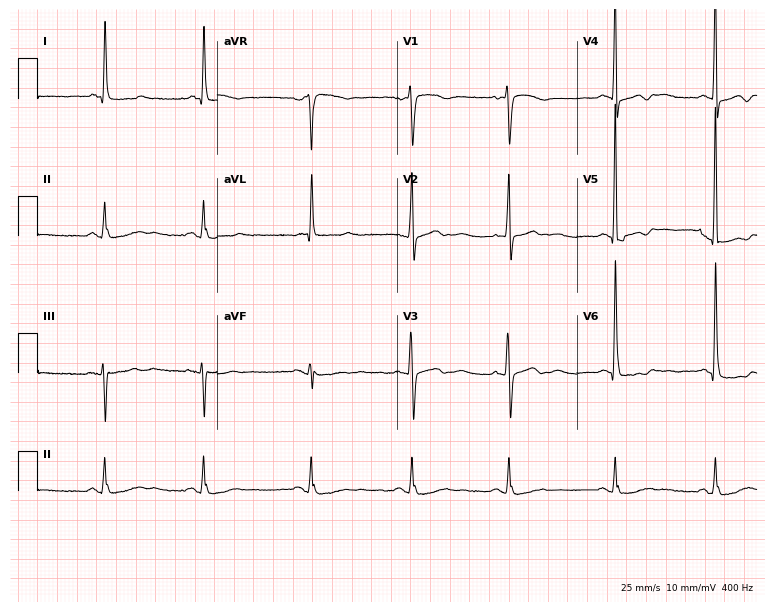
ECG (7.3-second recording at 400 Hz) — a female patient, 79 years old. Screened for six findings — first-degree AV block, right bundle branch block, left bundle branch block, sinus bradycardia, atrial fibrillation, sinus tachycardia — none is recorded. Only these six findings were labelled.